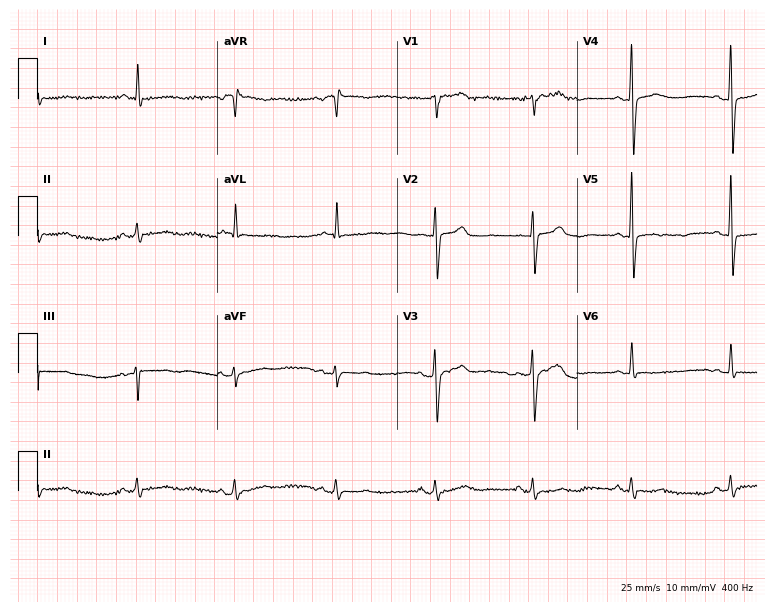
Electrocardiogram (7.3-second recording at 400 Hz), a 67-year-old female patient. Of the six screened findings (first-degree AV block, right bundle branch block, left bundle branch block, sinus bradycardia, atrial fibrillation, sinus tachycardia), none is recorded. Only these six findings were labelled.